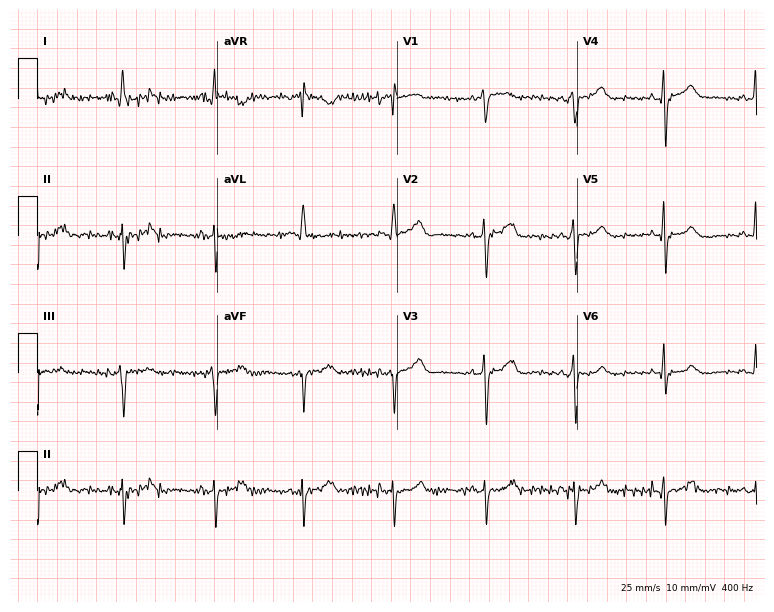
Resting 12-lead electrocardiogram (7.3-second recording at 400 Hz). Patient: a female, 63 years old. None of these six findings is recorded: first-degree AV block, right bundle branch block, left bundle branch block, sinus bradycardia, atrial fibrillation, sinus tachycardia. Only these six findings were labelled.